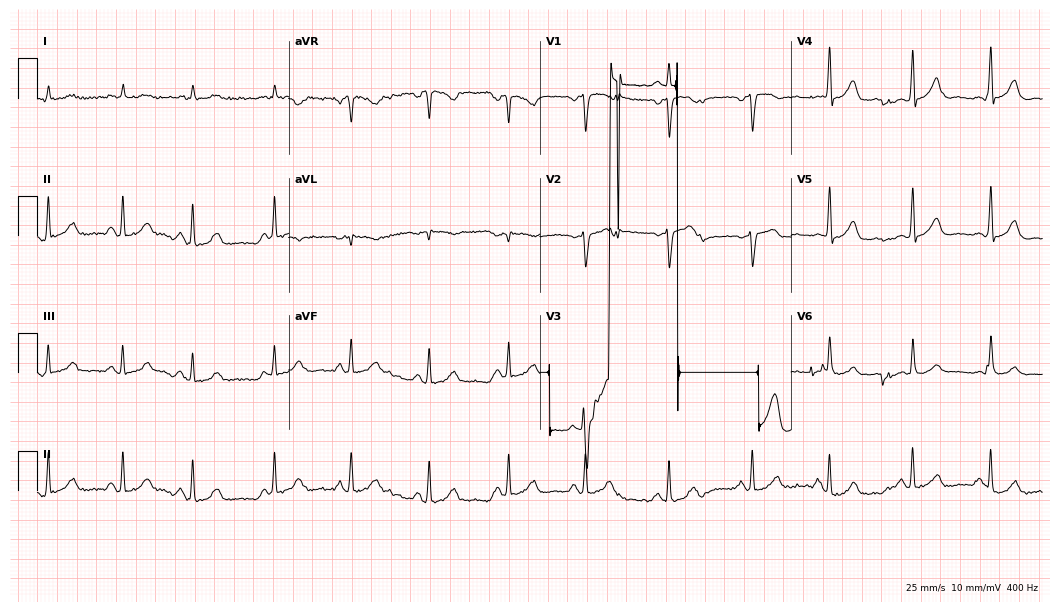
Standard 12-lead ECG recorded from a male, 38 years old (10.2-second recording at 400 Hz). None of these six findings is recorded: first-degree AV block, right bundle branch block, left bundle branch block, sinus bradycardia, atrial fibrillation, sinus tachycardia.